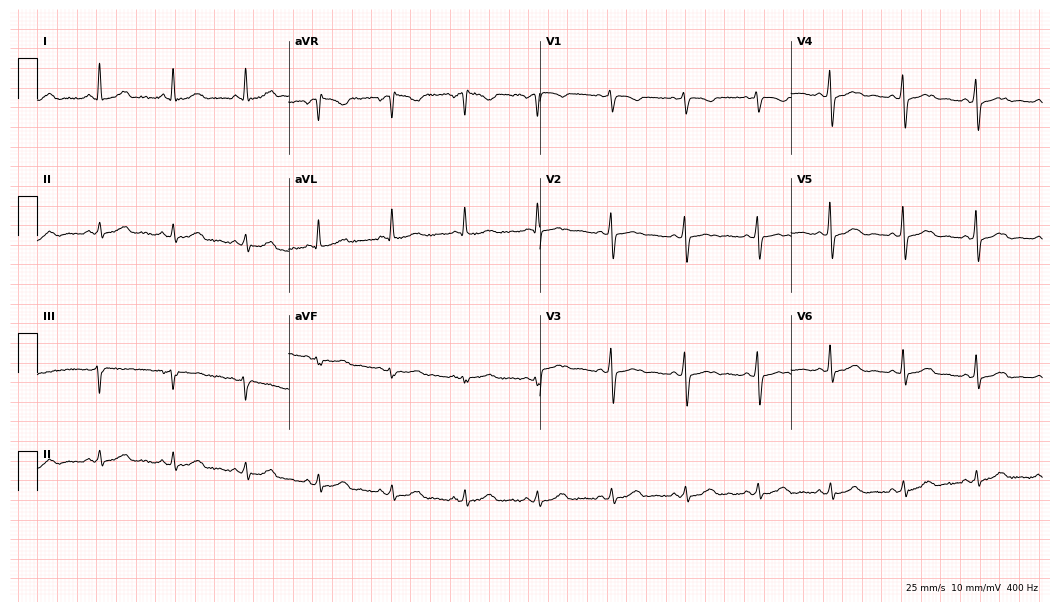
12-lead ECG (10.2-second recording at 400 Hz) from a 51-year-old female. Labelled as a normal ECG.